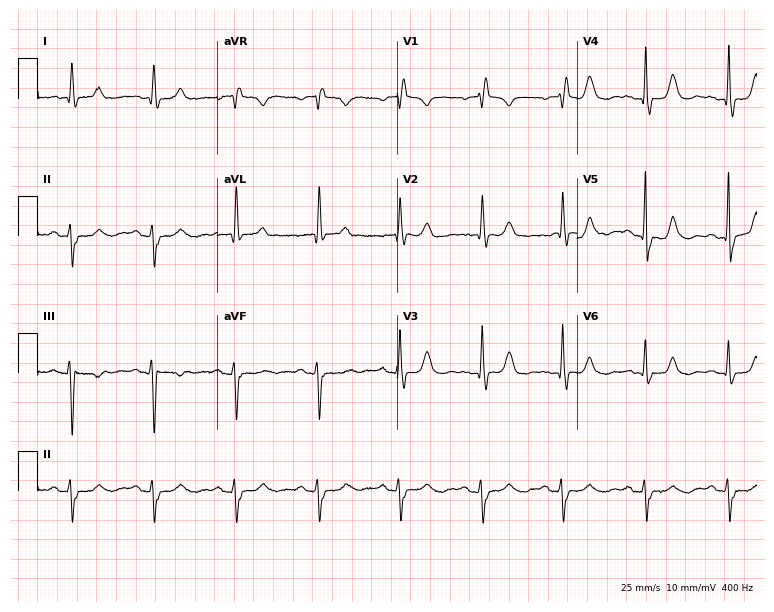
Electrocardiogram, a 65-year-old female patient. Interpretation includes right bundle branch block.